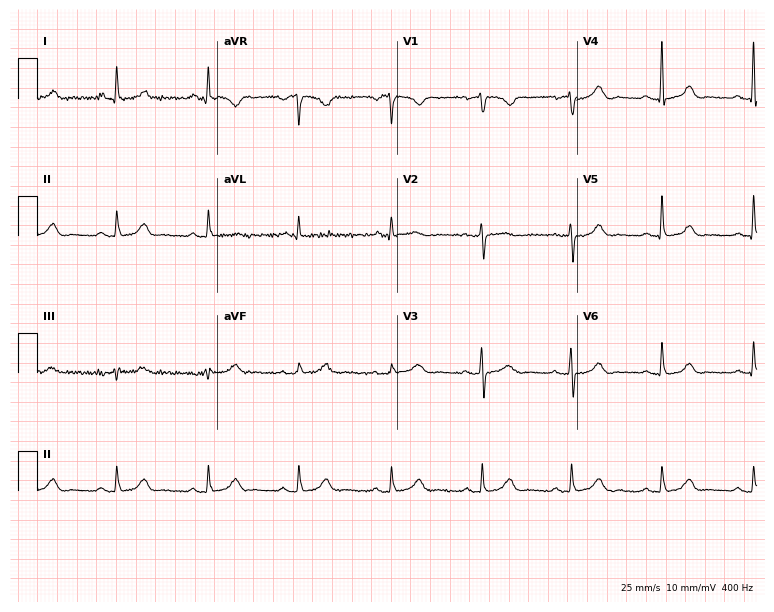
Standard 12-lead ECG recorded from a 76-year-old female patient. None of these six findings is recorded: first-degree AV block, right bundle branch block, left bundle branch block, sinus bradycardia, atrial fibrillation, sinus tachycardia. Other findings, if any, are not listed.